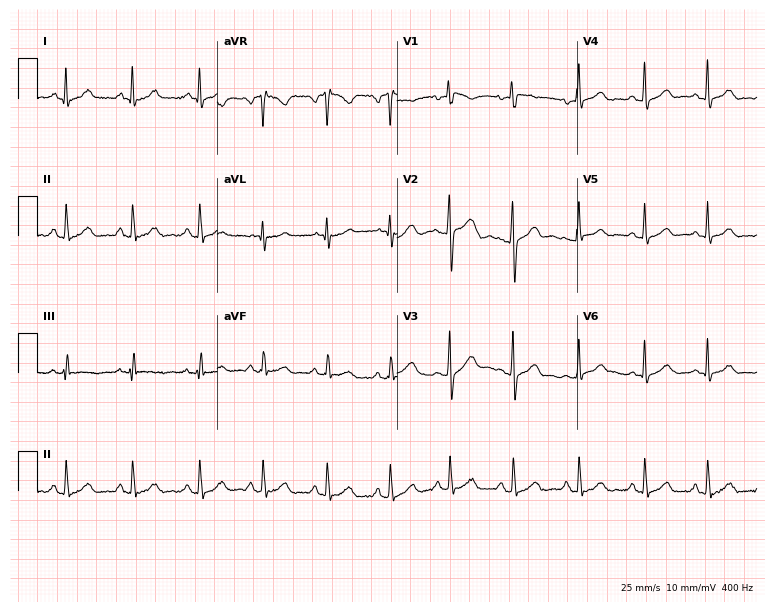
12-lead ECG from a 34-year-old woman. No first-degree AV block, right bundle branch block (RBBB), left bundle branch block (LBBB), sinus bradycardia, atrial fibrillation (AF) or sinus tachycardia recorded for this tracing. Only these six findings were labelled.